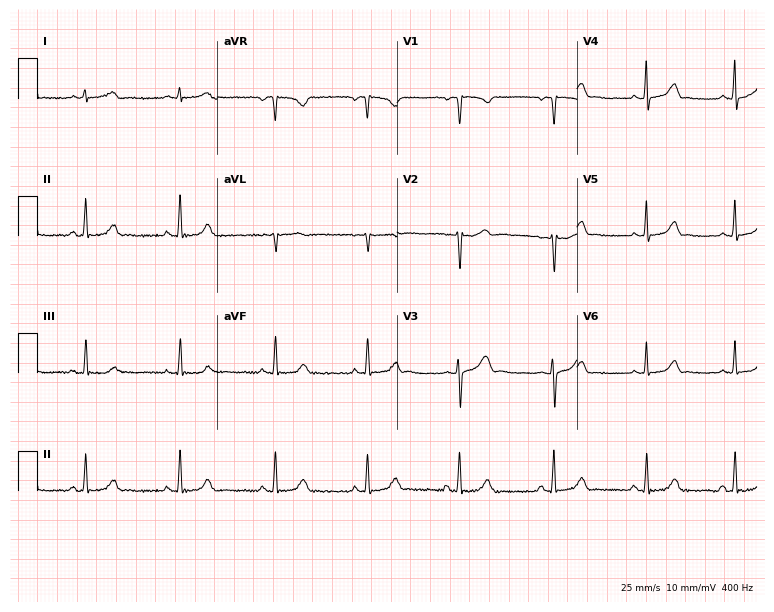
Standard 12-lead ECG recorded from a 24-year-old female (7.3-second recording at 400 Hz). Read as a normal ECG.